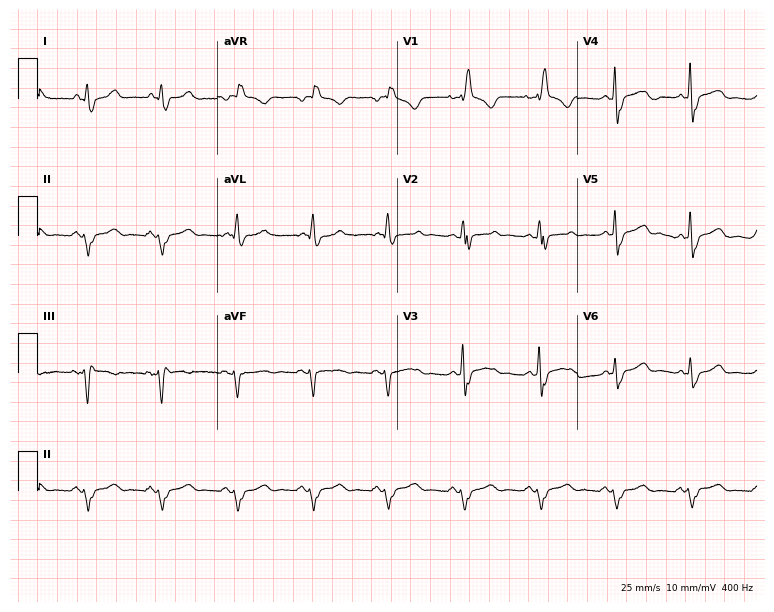
Standard 12-lead ECG recorded from a woman, 61 years old (7.3-second recording at 400 Hz). The tracing shows right bundle branch block.